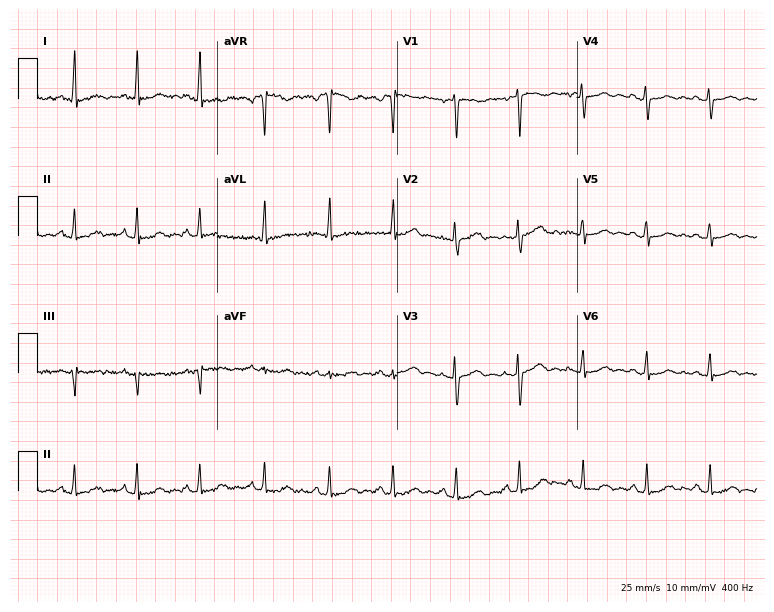
ECG — a female, 47 years old. Screened for six findings — first-degree AV block, right bundle branch block (RBBB), left bundle branch block (LBBB), sinus bradycardia, atrial fibrillation (AF), sinus tachycardia — none is recorded.